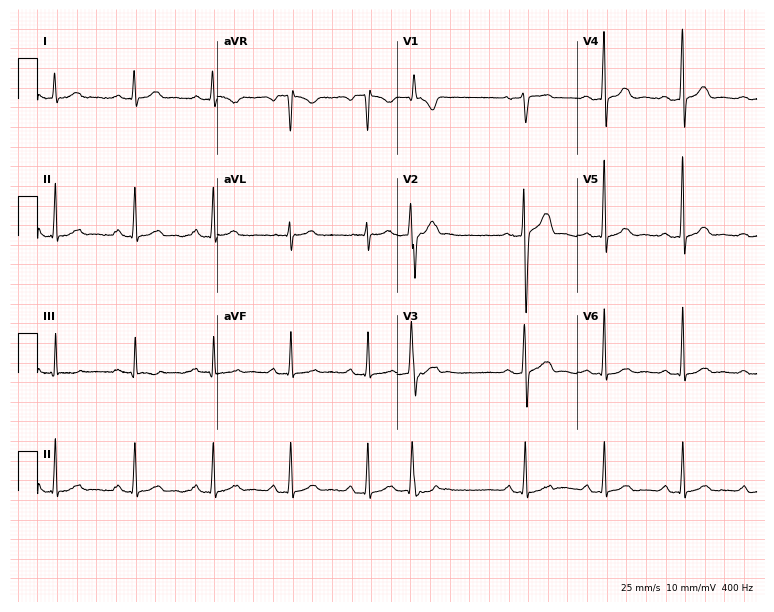
12-lead ECG from a male patient, 27 years old. No first-degree AV block, right bundle branch block, left bundle branch block, sinus bradycardia, atrial fibrillation or sinus tachycardia recorded for this tracing. Only these six findings were labelled.